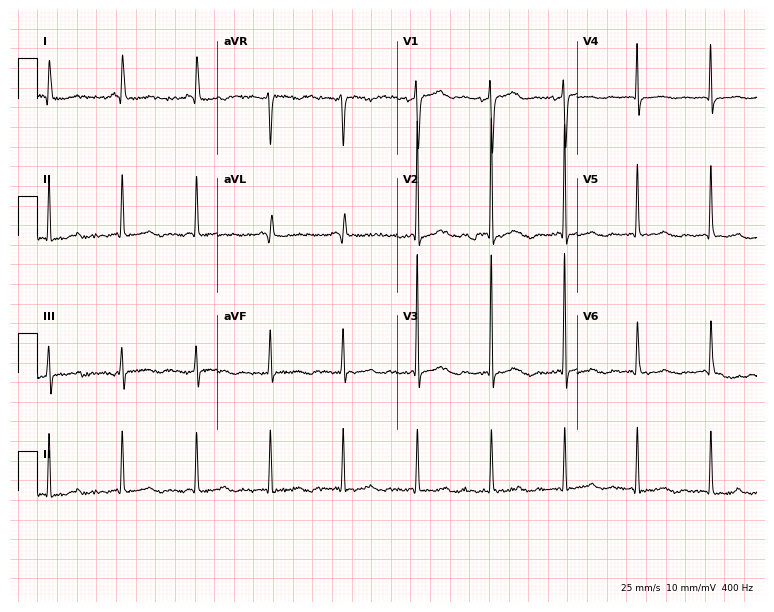
Electrocardiogram (7.3-second recording at 400 Hz), a woman, 56 years old. Of the six screened findings (first-degree AV block, right bundle branch block (RBBB), left bundle branch block (LBBB), sinus bradycardia, atrial fibrillation (AF), sinus tachycardia), none is recorded. Other findings, if any, are not listed.